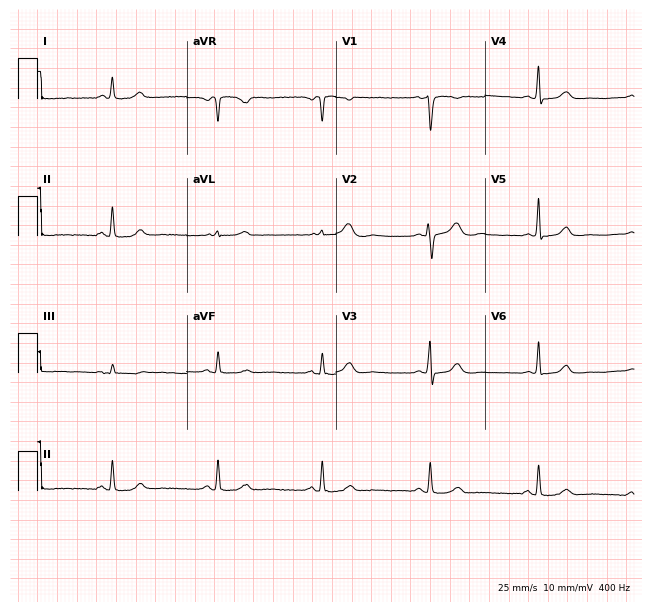
Standard 12-lead ECG recorded from a 35-year-old female patient. Read as a normal ECG.